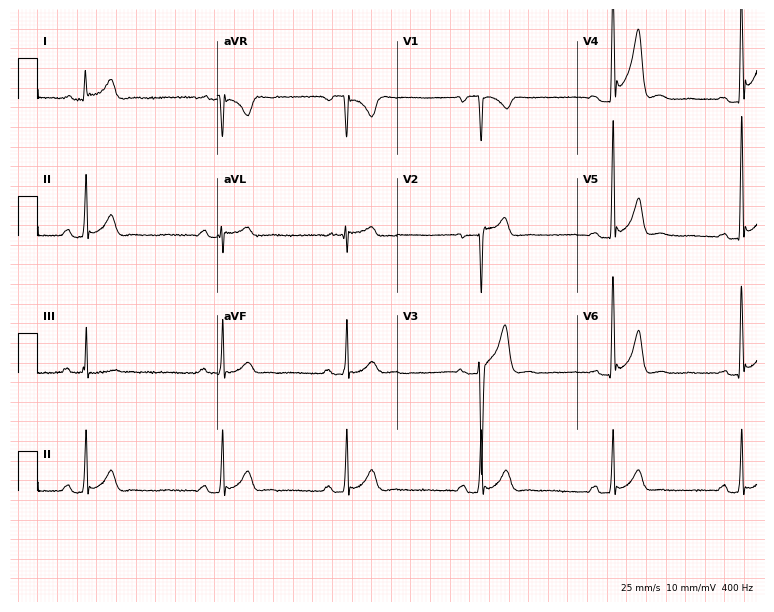
Electrocardiogram (7.3-second recording at 400 Hz), a 25-year-old male patient. Of the six screened findings (first-degree AV block, right bundle branch block (RBBB), left bundle branch block (LBBB), sinus bradycardia, atrial fibrillation (AF), sinus tachycardia), none is recorded. Findings outside these six are not listed.